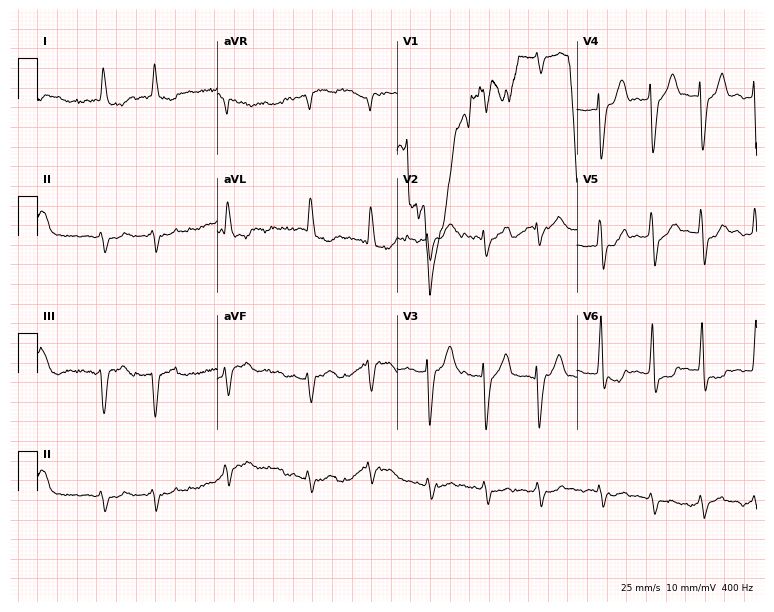
Electrocardiogram, an 85-year-old female patient. Interpretation includes atrial fibrillation.